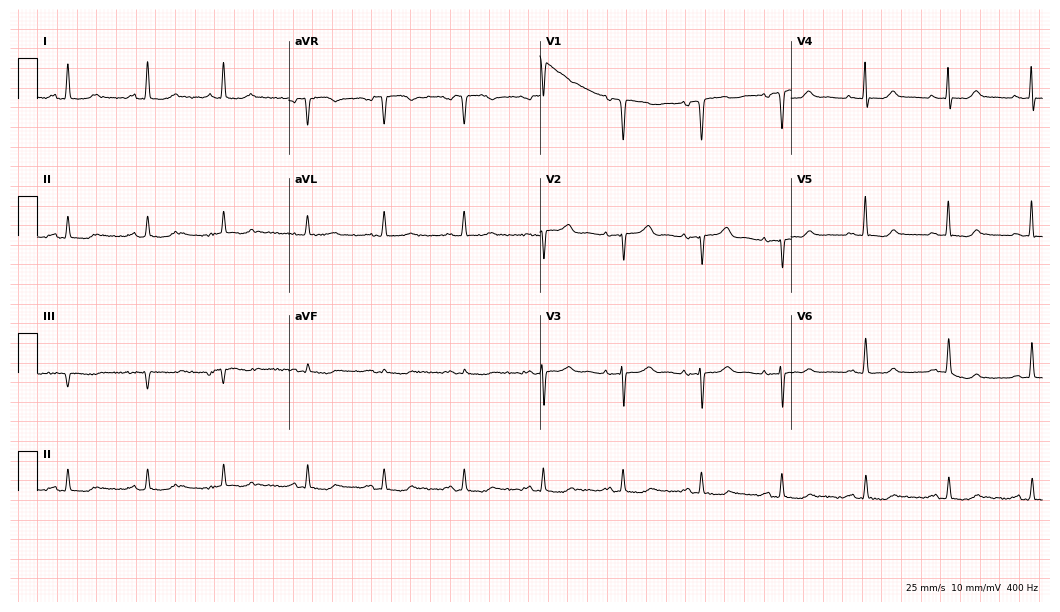
12-lead ECG (10.2-second recording at 400 Hz) from a 73-year-old female. Screened for six findings — first-degree AV block, right bundle branch block, left bundle branch block, sinus bradycardia, atrial fibrillation, sinus tachycardia — none is recorded.